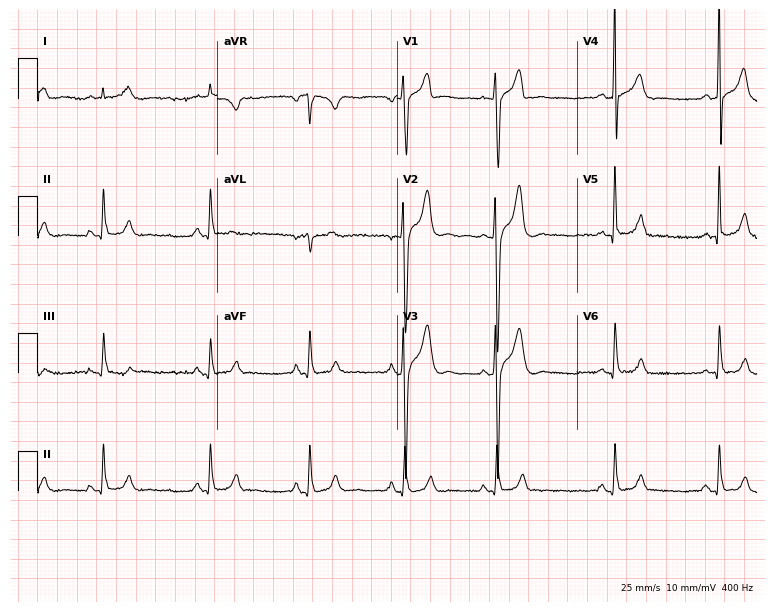
12-lead ECG from a 25-year-old male (7.3-second recording at 400 Hz). Recorded interpretation: within normal limits.